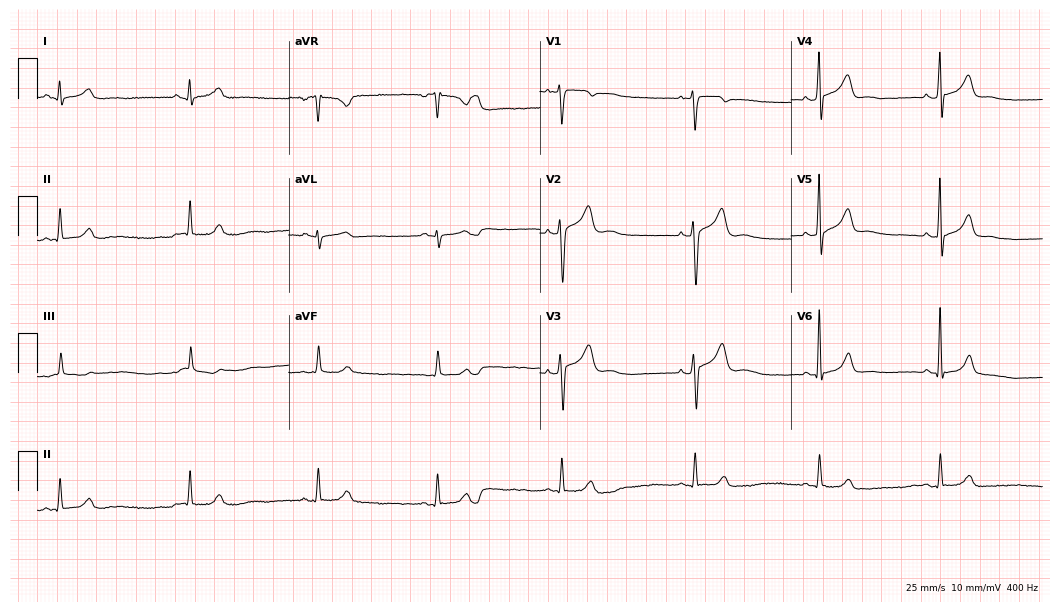
Standard 12-lead ECG recorded from a male patient, 26 years old (10.2-second recording at 400 Hz). The tracing shows sinus bradycardia (a sinus rate of 50 beats per minute or less).